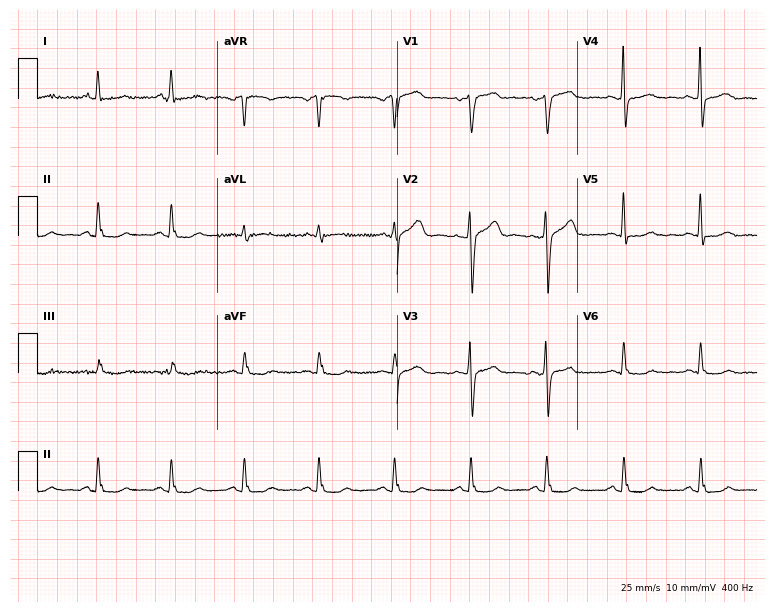
Electrocardiogram (7.3-second recording at 400 Hz), a 40-year-old woman. Overall reading on record: normal ECG.